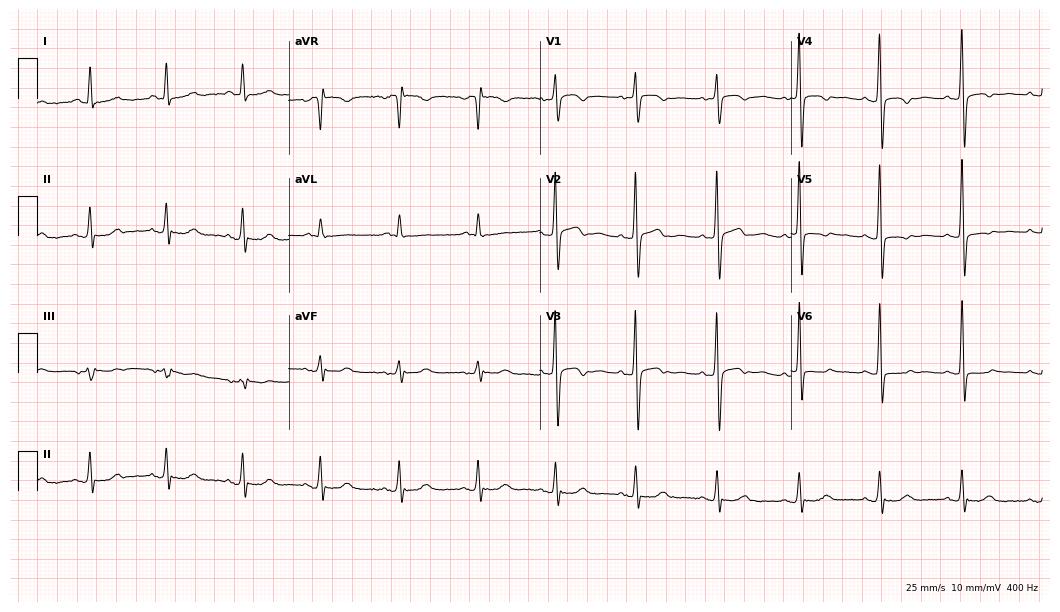
Standard 12-lead ECG recorded from a woman, 65 years old. None of these six findings is recorded: first-degree AV block, right bundle branch block, left bundle branch block, sinus bradycardia, atrial fibrillation, sinus tachycardia. Other findings, if any, are not listed.